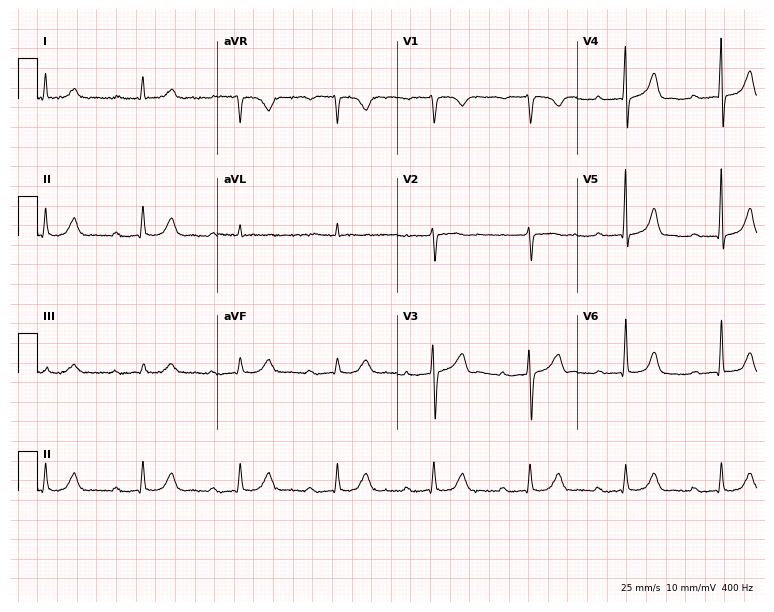
Resting 12-lead electrocardiogram (7.3-second recording at 400 Hz). Patient: a male, 81 years old. The tracing shows first-degree AV block.